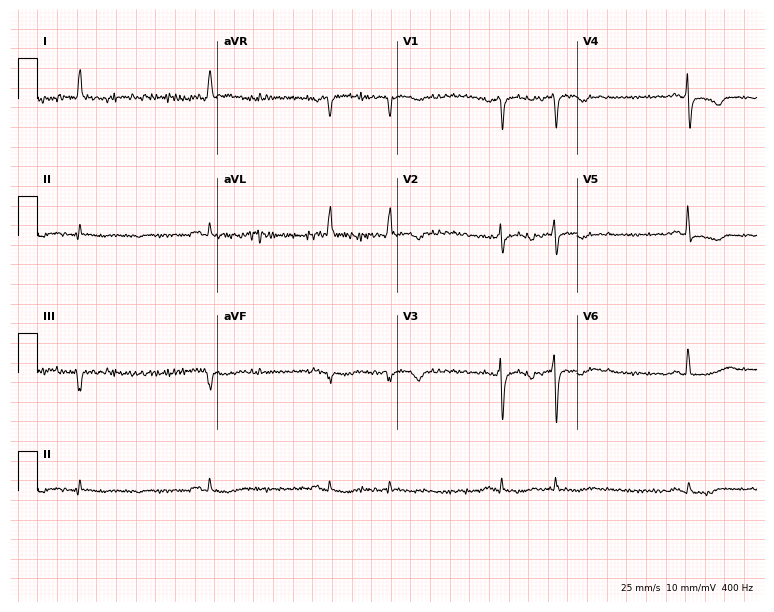
12-lead ECG from a woman, 78 years old. Screened for six findings — first-degree AV block, right bundle branch block, left bundle branch block, sinus bradycardia, atrial fibrillation, sinus tachycardia — none is recorded.